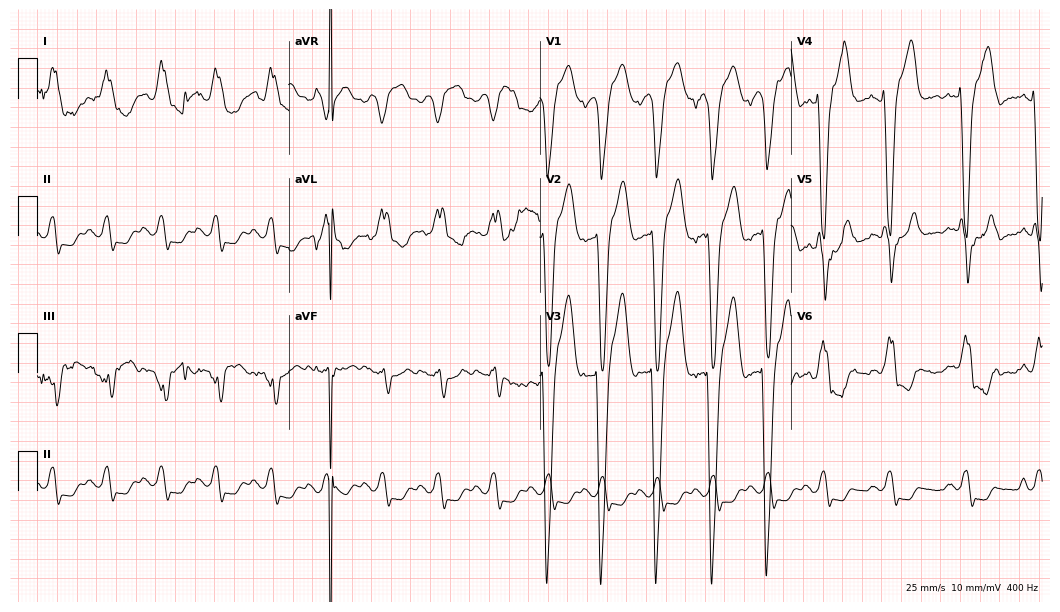
12-lead ECG from a woman, 72 years old. Shows left bundle branch block, sinus tachycardia (a sinus rate of 100 beats per minute or more).